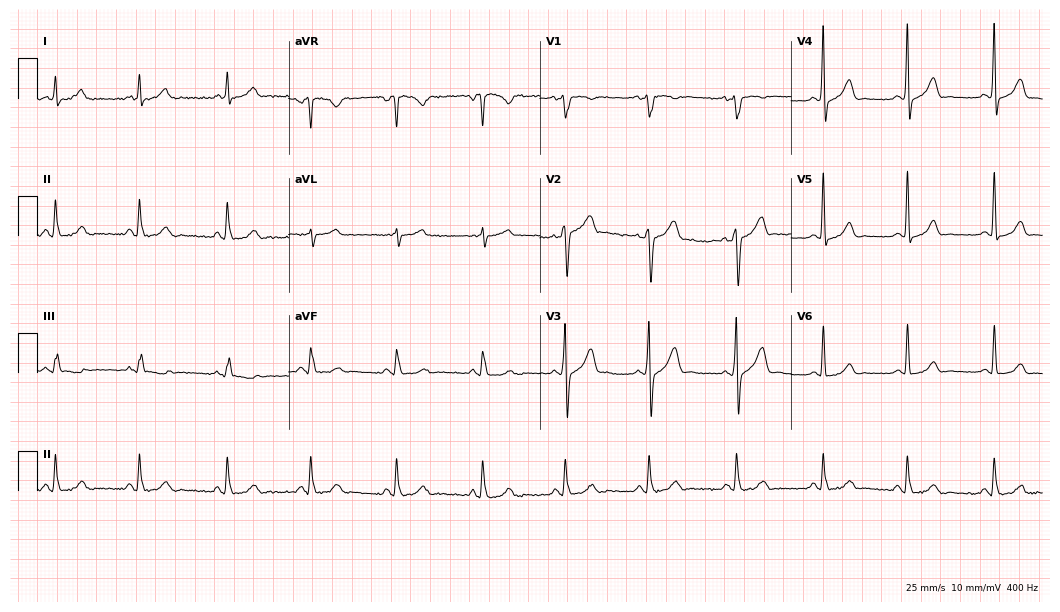
Standard 12-lead ECG recorded from a 49-year-old man (10.2-second recording at 400 Hz). None of these six findings is recorded: first-degree AV block, right bundle branch block, left bundle branch block, sinus bradycardia, atrial fibrillation, sinus tachycardia.